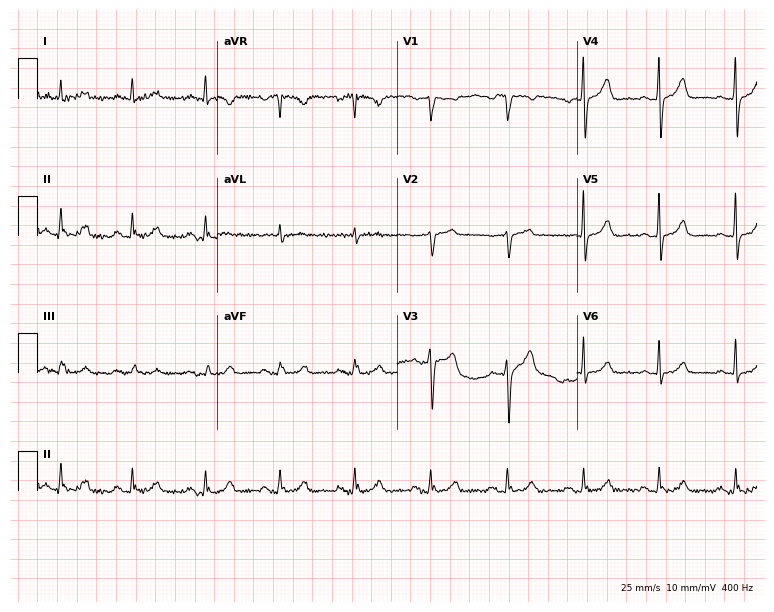
ECG — a man, 58 years old. Screened for six findings — first-degree AV block, right bundle branch block, left bundle branch block, sinus bradycardia, atrial fibrillation, sinus tachycardia — none is recorded. Findings outside these six are not listed.